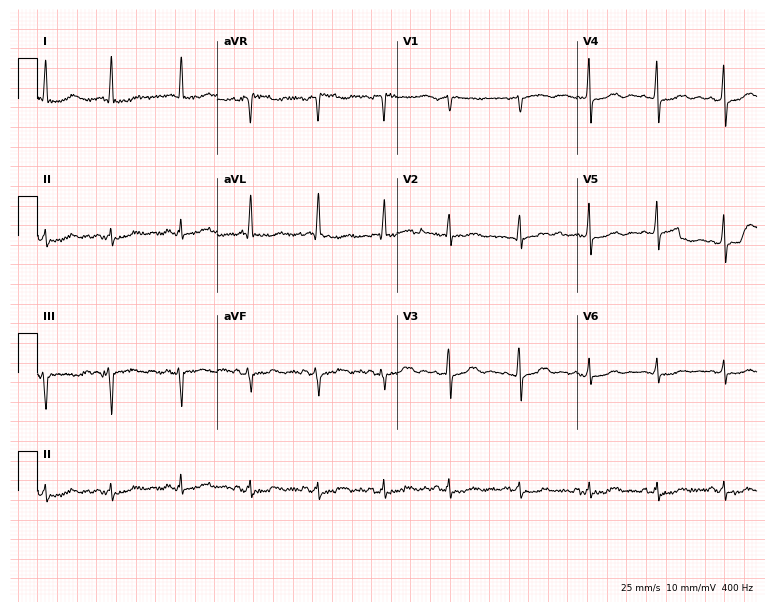
12-lead ECG from a woman, 82 years old (7.3-second recording at 400 Hz). Recorded interpretation: within normal limits.